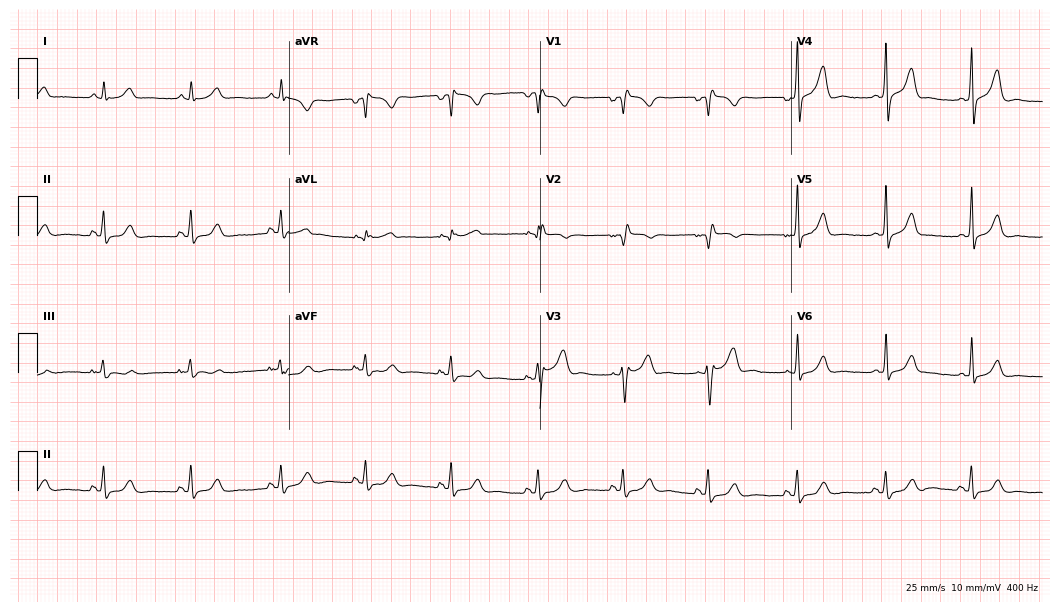
12-lead ECG from a 53-year-old male (10.2-second recording at 400 Hz). No first-degree AV block, right bundle branch block, left bundle branch block, sinus bradycardia, atrial fibrillation or sinus tachycardia recorded for this tracing.